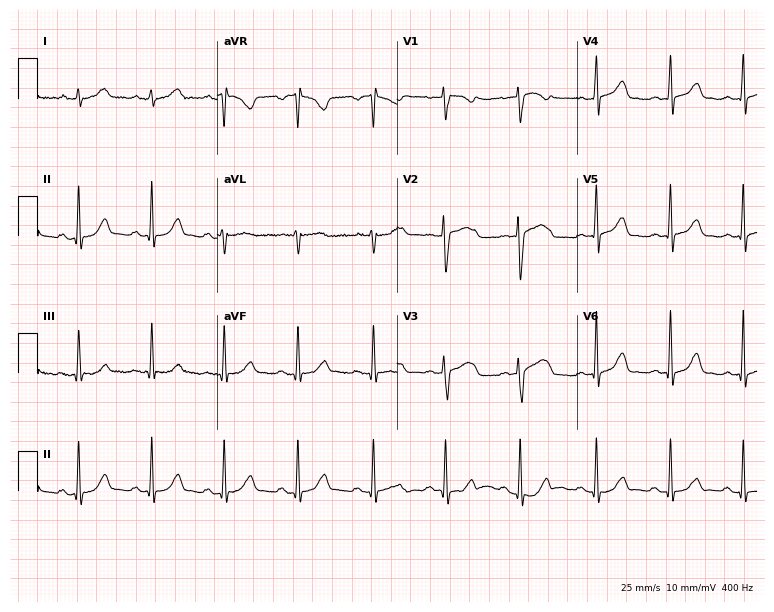
Standard 12-lead ECG recorded from a female, 35 years old (7.3-second recording at 400 Hz). None of these six findings is recorded: first-degree AV block, right bundle branch block (RBBB), left bundle branch block (LBBB), sinus bradycardia, atrial fibrillation (AF), sinus tachycardia. Findings outside these six are not listed.